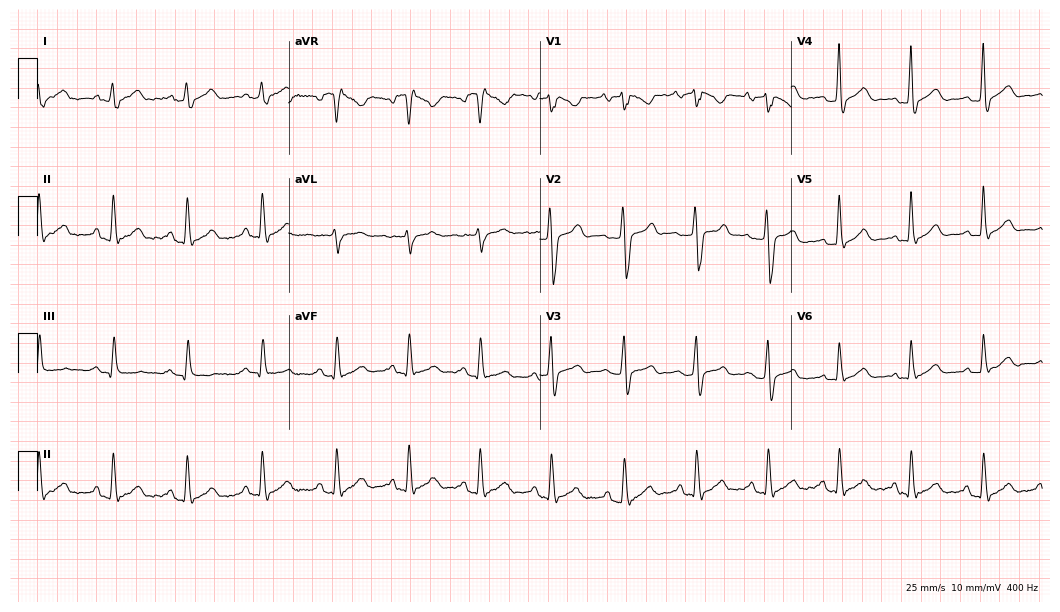
Standard 12-lead ECG recorded from a 43-year-old male (10.2-second recording at 400 Hz). None of these six findings is recorded: first-degree AV block, right bundle branch block, left bundle branch block, sinus bradycardia, atrial fibrillation, sinus tachycardia.